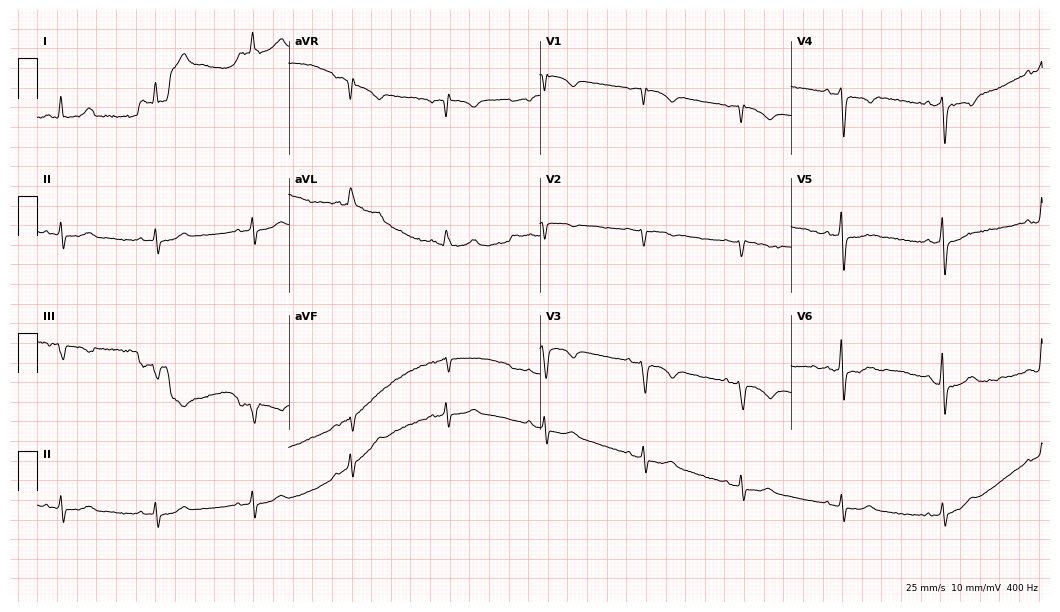
Resting 12-lead electrocardiogram. Patient: a man, 78 years old. None of these six findings is recorded: first-degree AV block, right bundle branch block, left bundle branch block, sinus bradycardia, atrial fibrillation, sinus tachycardia.